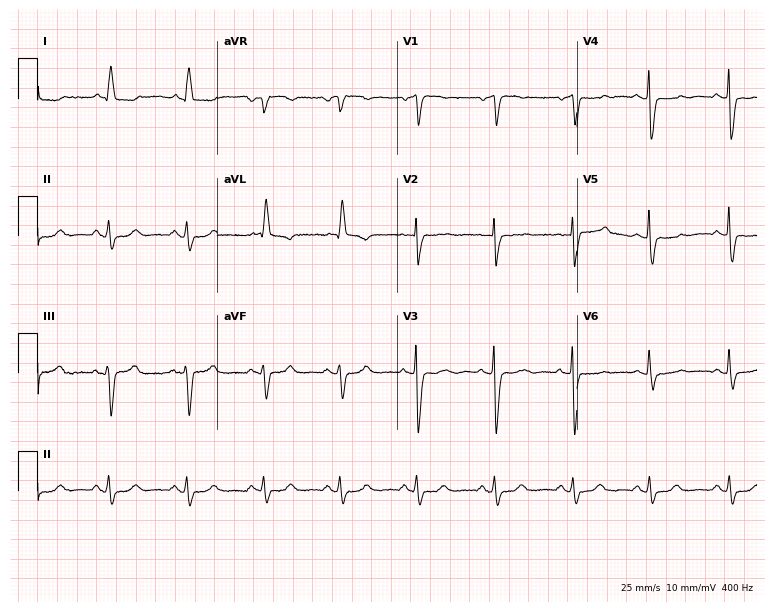
ECG — a female patient, 80 years old. Screened for six findings — first-degree AV block, right bundle branch block, left bundle branch block, sinus bradycardia, atrial fibrillation, sinus tachycardia — none is recorded. Other findings, if any, are not listed.